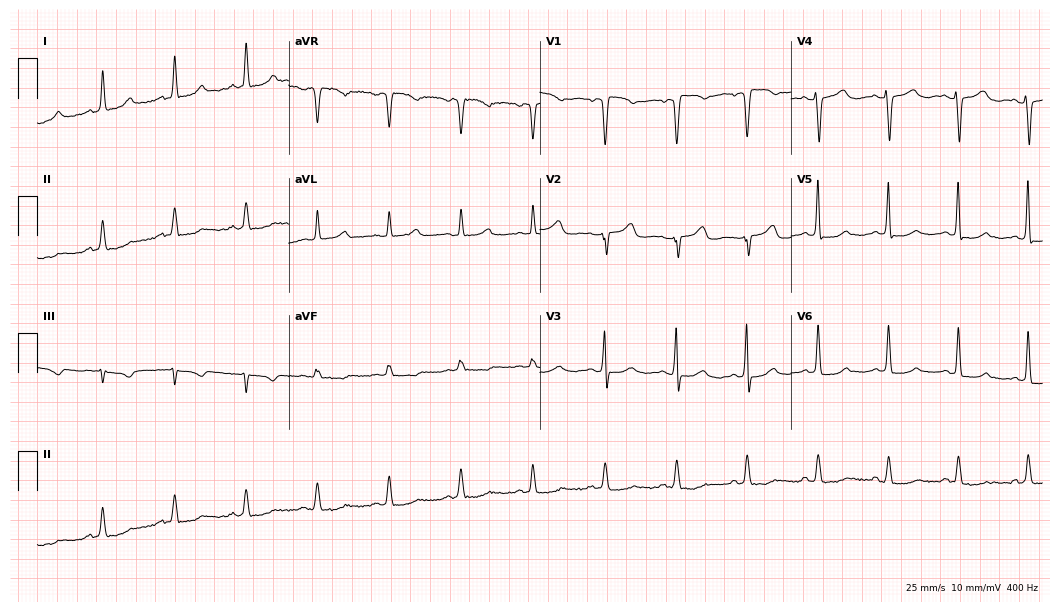
Electrocardiogram (10.2-second recording at 400 Hz), a female patient, 61 years old. Of the six screened findings (first-degree AV block, right bundle branch block, left bundle branch block, sinus bradycardia, atrial fibrillation, sinus tachycardia), none is recorded.